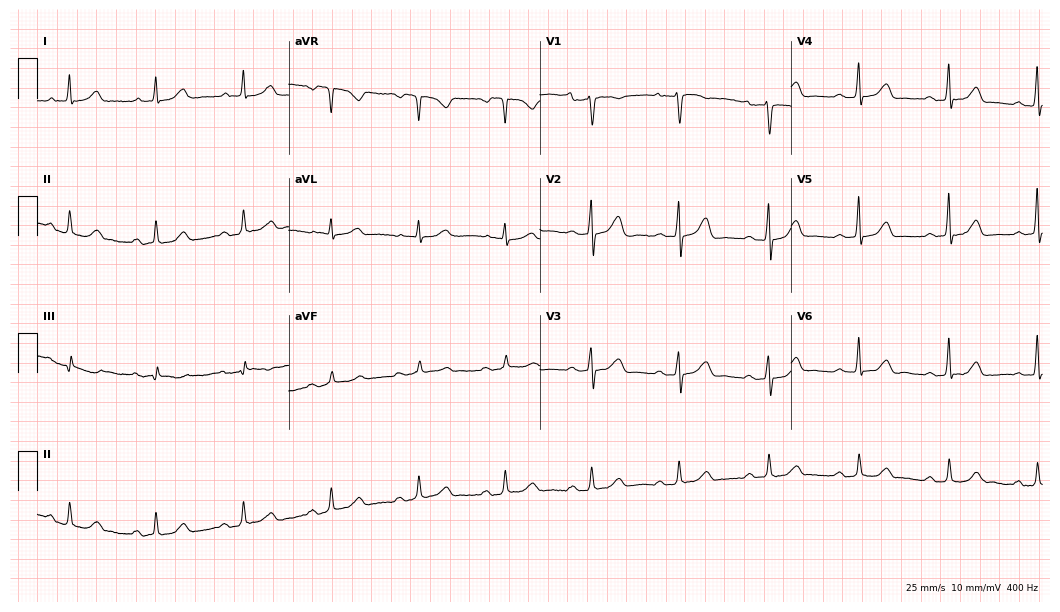
12-lead ECG from a 61-year-old female. Recorded interpretation: within normal limits.